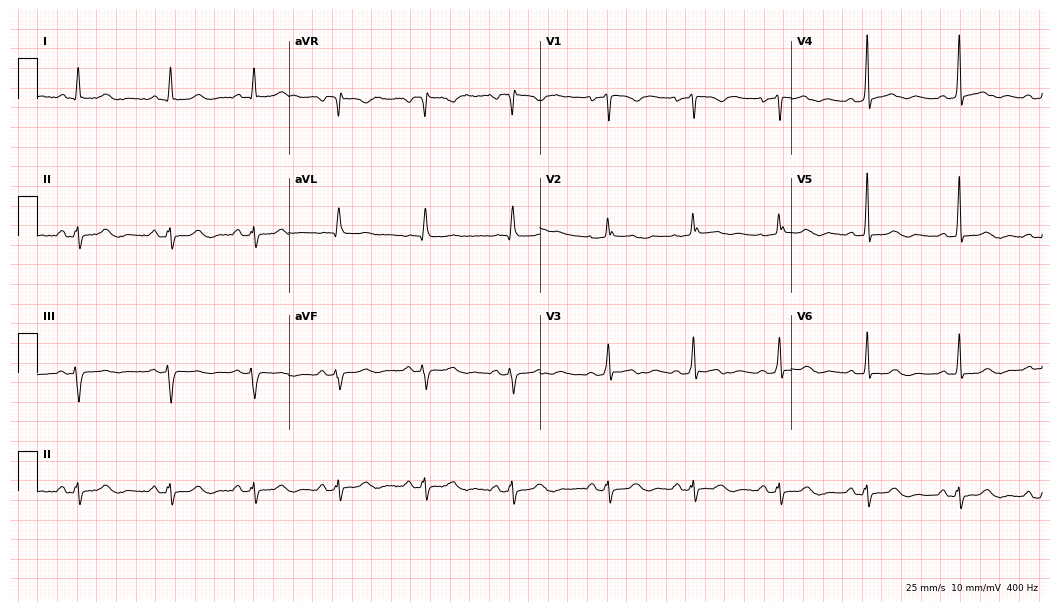
Standard 12-lead ECG recorded from a 50-year-old female (10.2-second recording at 400 Hz). None of these six findings is recorded: first-degree AV block, right bundle branch block, left bundle branch block, sinus bradycardia, atrial fibrillation, sinus tachycardia. Only these six findings were labelled.